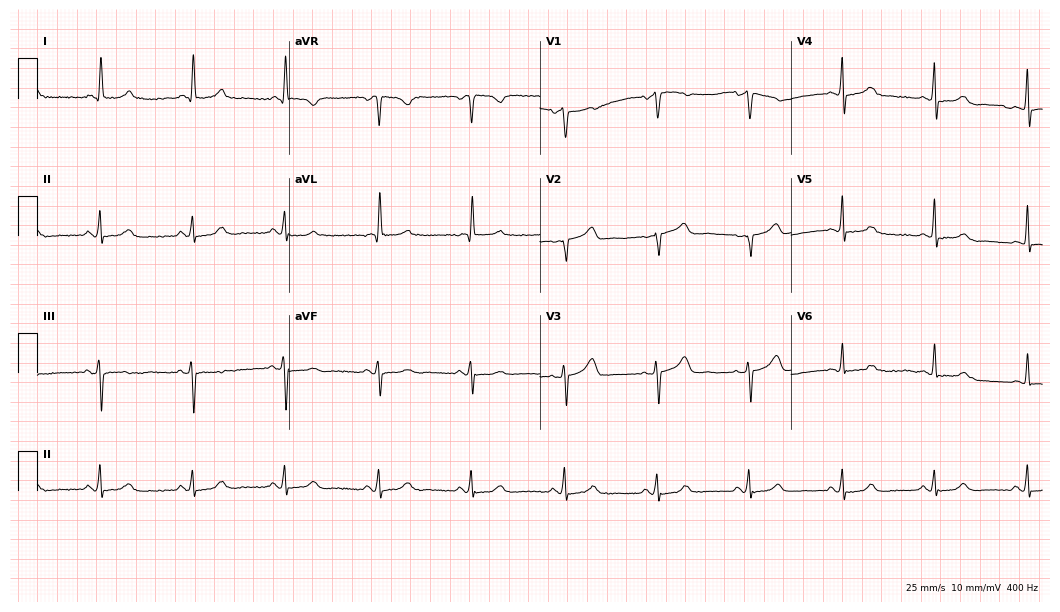
Electrocardiogram, a 70-year-old female. Of the six screened findings (first-degree AV block, right bundle branch block, left bundle branch block, sinus bradycardia, atrial fibrillation, sinus tachycardia), none is recorded.